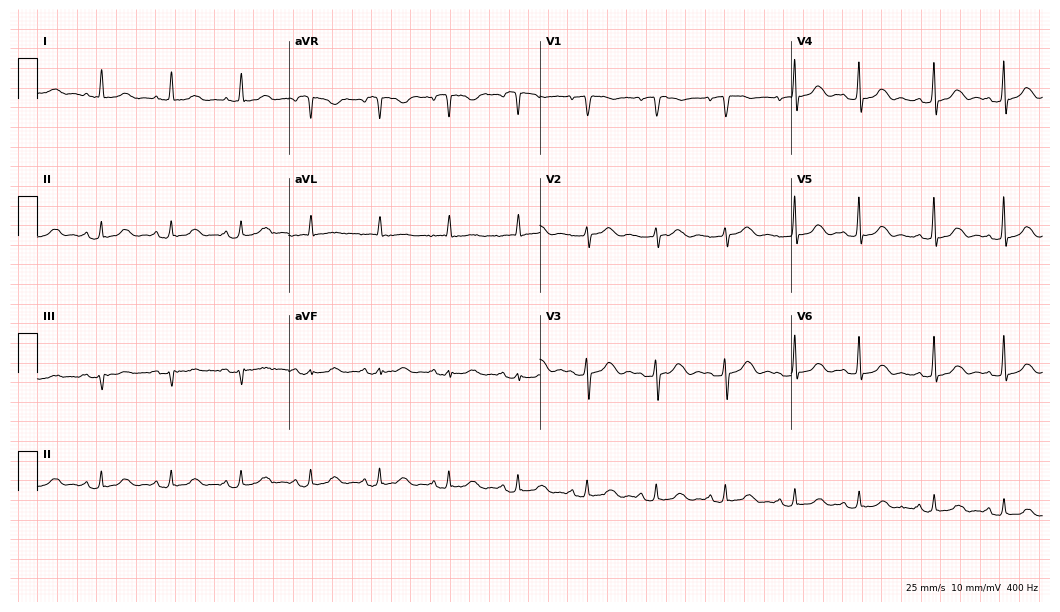
Electrocardiogram, an 81-year-old woman. Overall reading on record: normal ECG.